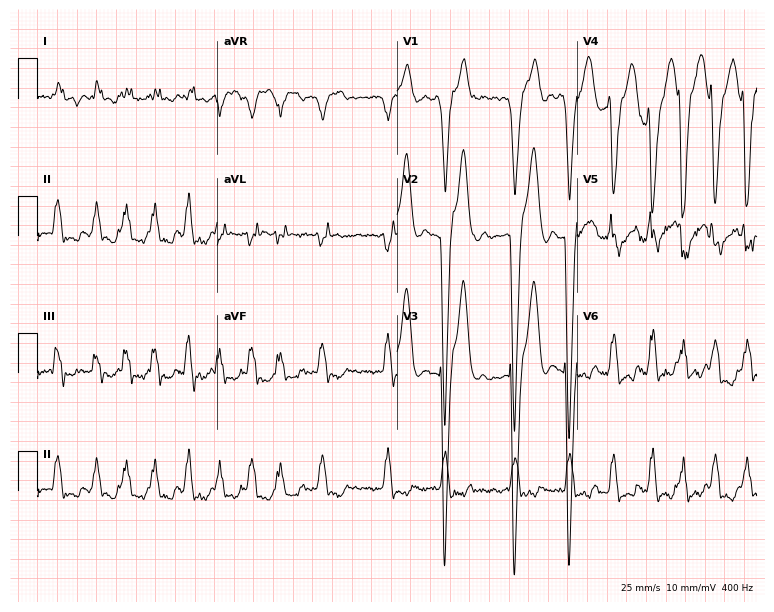
Standard 12-lead ECG recorded from a male, 42 years old. None of these six findings is recorded: first-degree AV block, right bundle branch block (RBBB), left bundle branch block (LBBB), sinus bradycardia, atrial fibrillation (AF), sinus tachycardia.